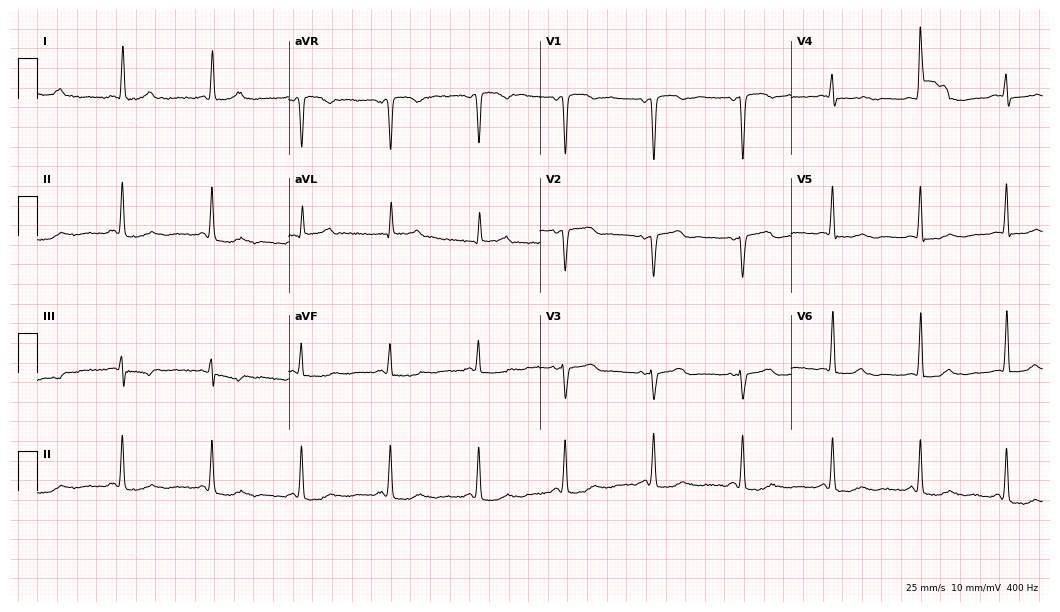
Electrocardiogram, a 66-year-old female patient. Of the six screened findings (first-degree AV block, right bundle branch block, left bundle branch block, sinus bradycardia, atrial fibrillation, sinus tachycardia), none is recorded.